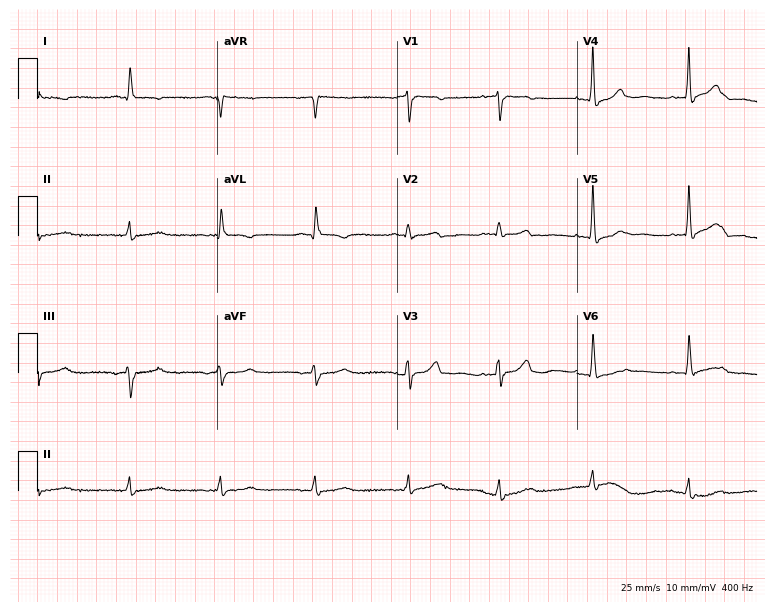
Standard 12-lead ECG recorded from a woman, 73 years old (7.3-second recording at 400 Hz). None of these six findings is recorded: first-degree AV block, right bundle branch block, left bundle branch block, sinus bradycardia, atrial fibrillation, sinus tachycardia.